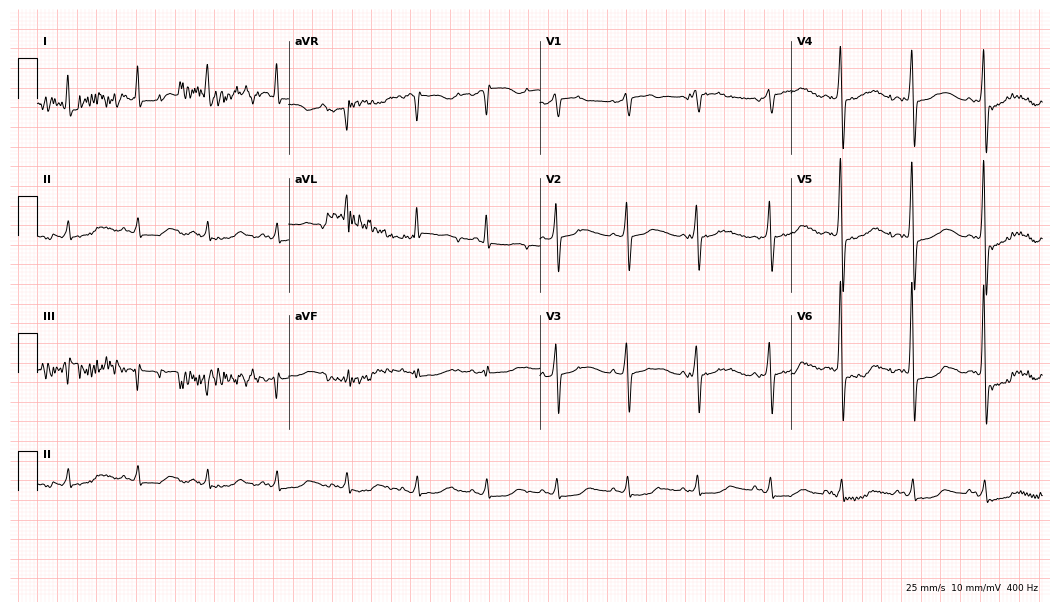
12-lead ECG from an 80-year-old man (10.2-second recording at 400 Hz). Recorded interpretation: within normal limits.